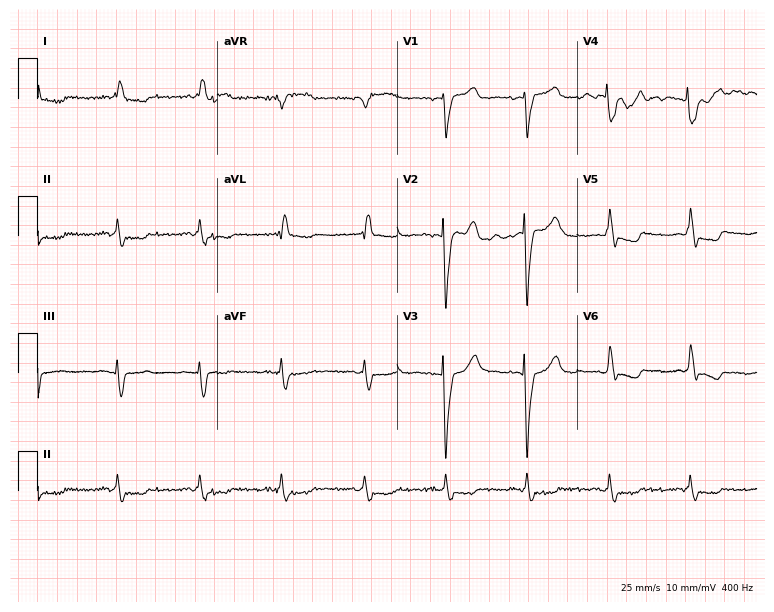
12-lead ECG from a male patient, 82 years old. Shows left bundle branch block (LBBB).